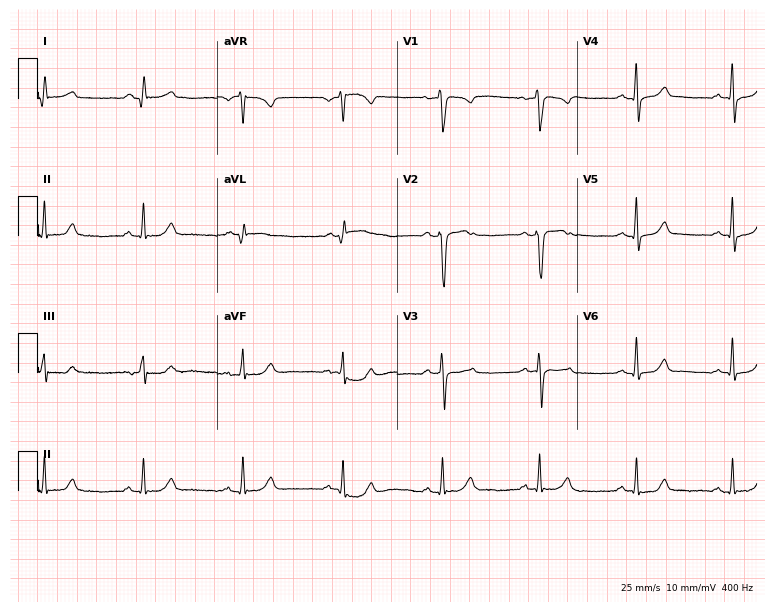
12-lead ECG from a man, 54 years old. Recorded interpretation: within normal limits.